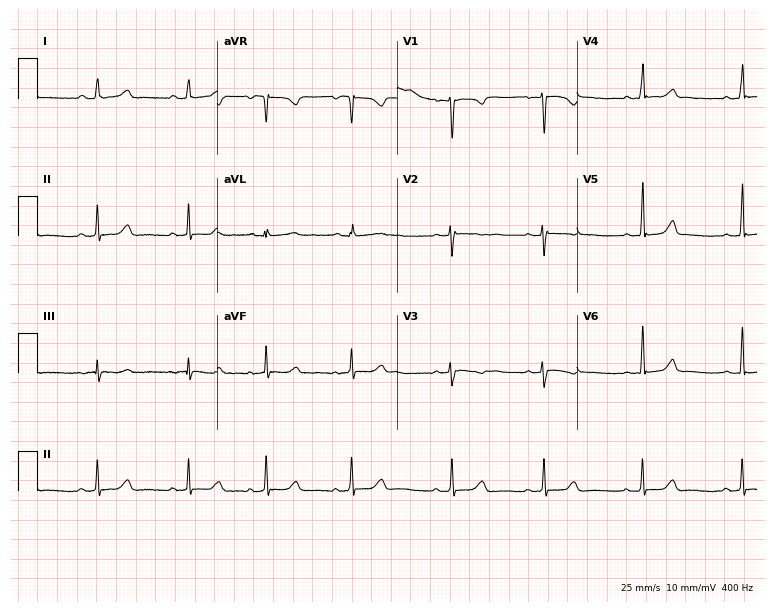
Standard 12-lead ECG recorded from a 17-year-old female patient. None of these six findings is recorded: first-degree AV block, right bundle branch block (RBBB), left bundle branch block (LBBB), sinus bradycardia, atrial fibrillation (AF), sinus tachycardia.